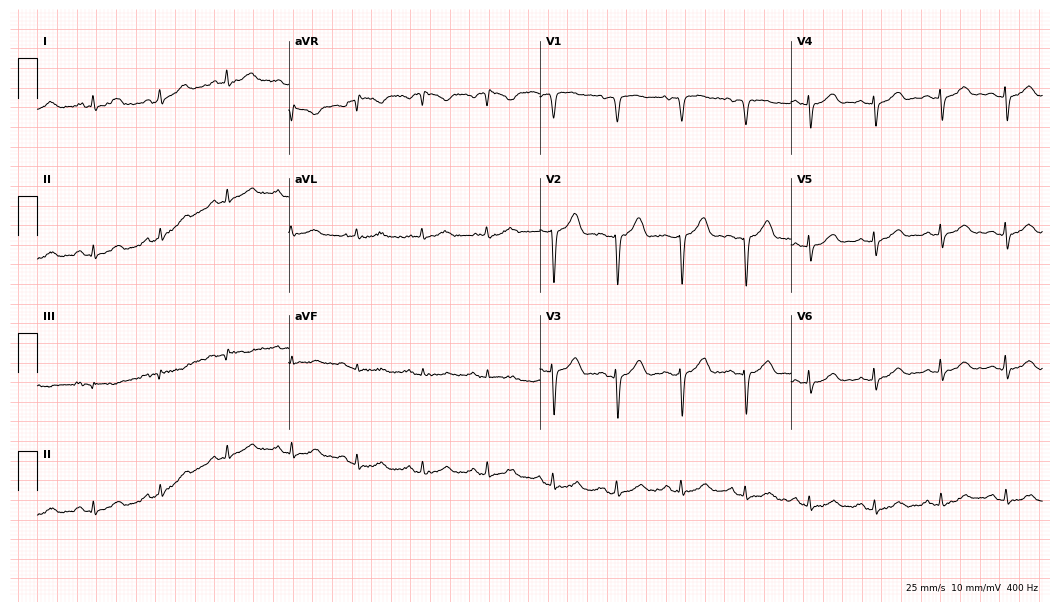
ECG — a man, 83 years old. Screened for six findings — first-degree AV block, right bundle branch block (RBBB), left bundle branch block (LBBB), sinus bradycardia, atrial fibrillation (AF), sinus tachycardia — none is recorded. Only these six findings were labelled.